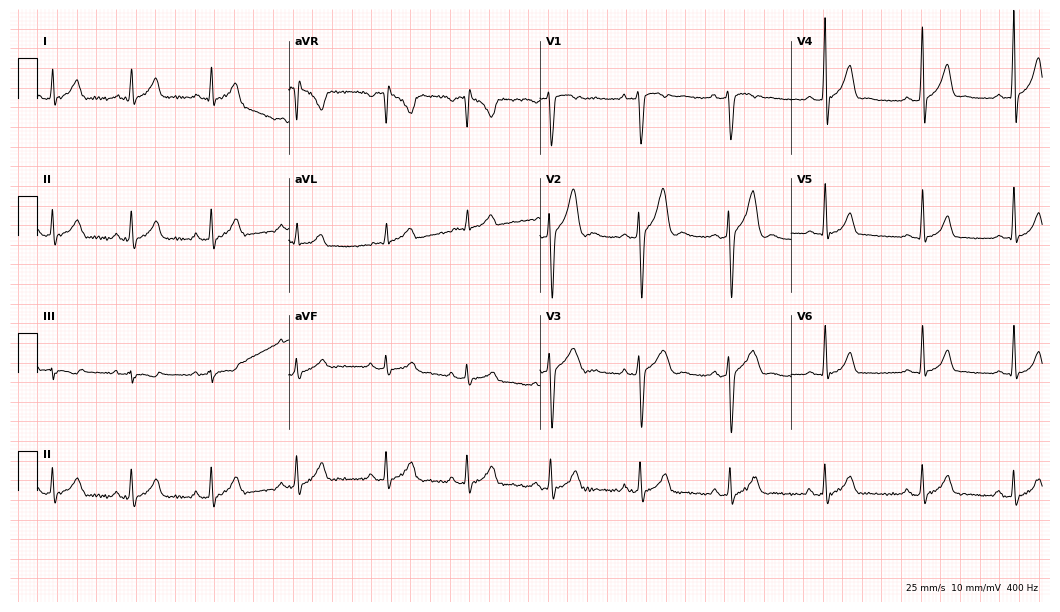
Electrocardiogram (10.2-second recording at 400 Hz), a male patient, 20 years old. Overall reading on record: normal ECG.